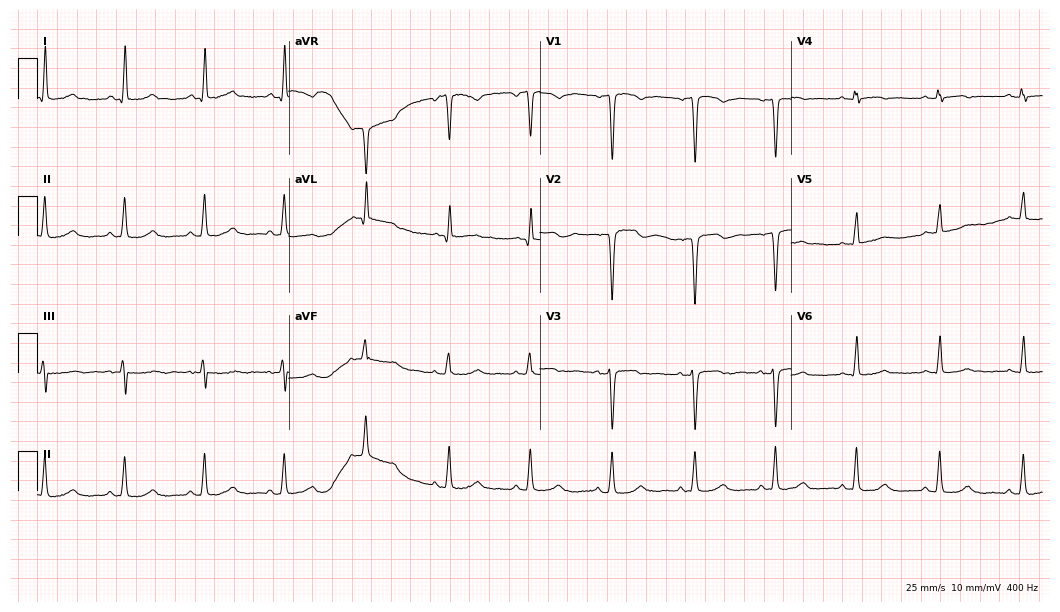
12-lead ECG from a 60-year-old female patient. Recorded interpretation: within normal limits.